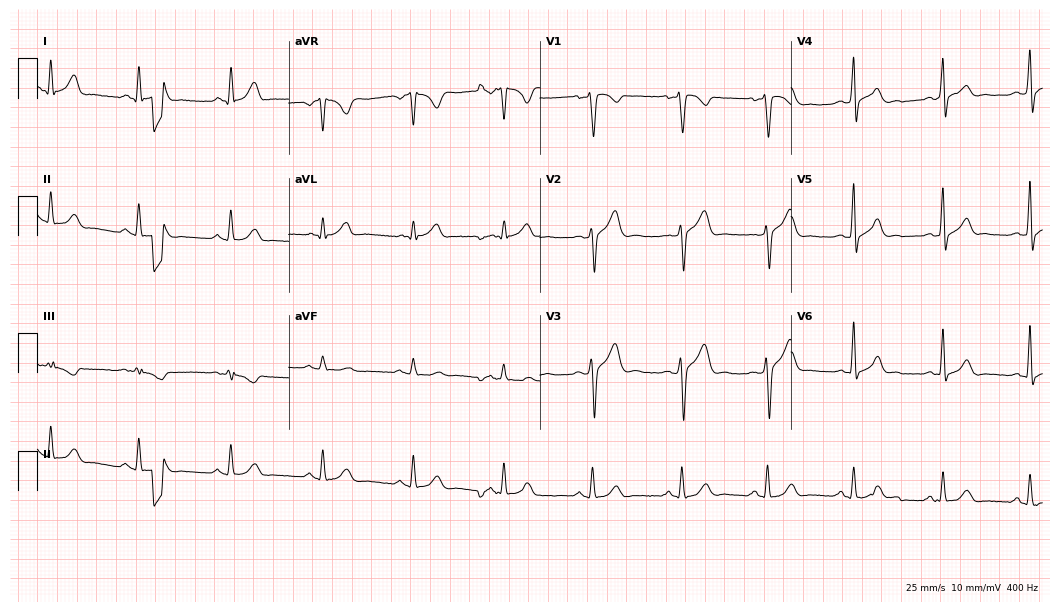
ECG — a male patient, 34 years old. Labelled as a normal ECG.